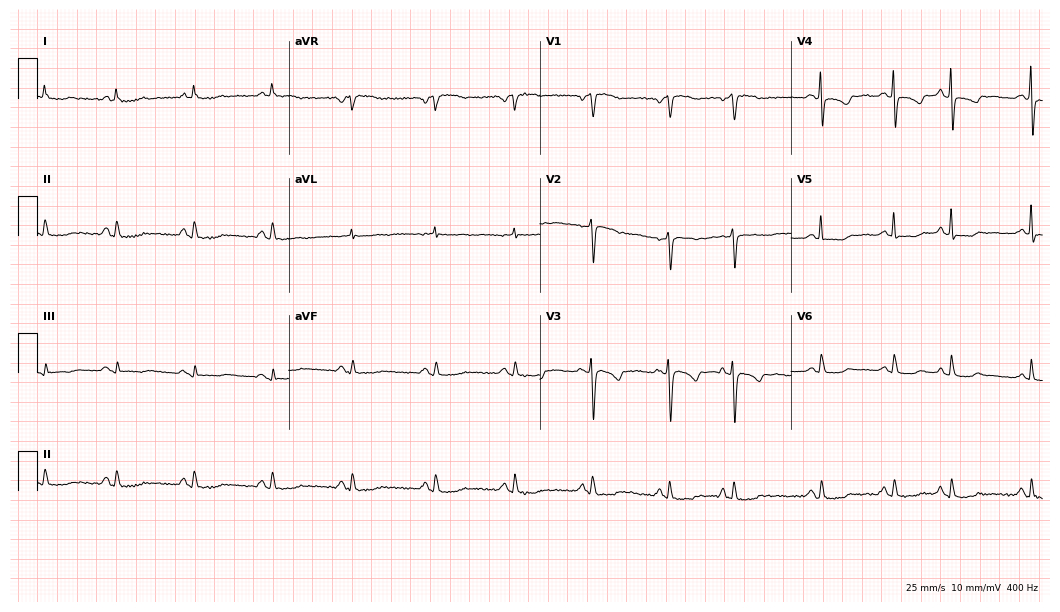
12-lead ECG from a 78-year-old female patient. Recorded interpretation: within normal limits.